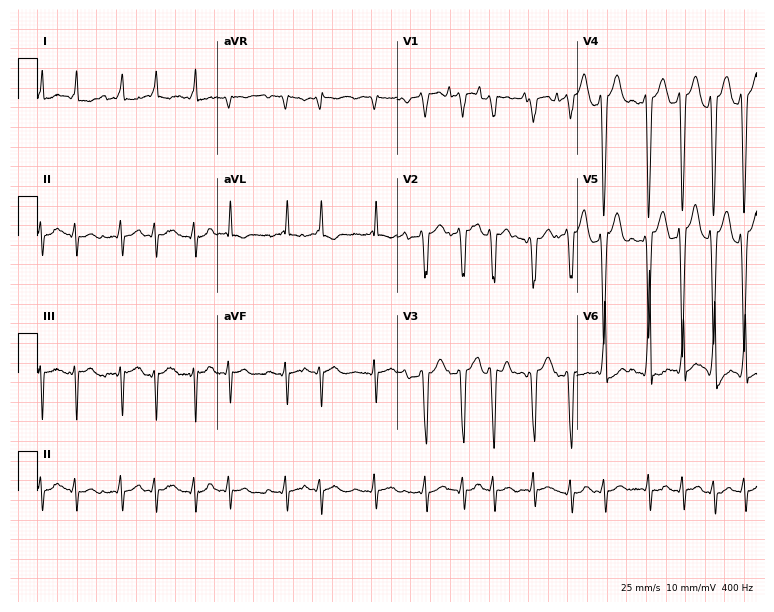
Standard 12-lead ECG recorded from a 38-year-old male patient. The tracing shows atrial fibrillation.